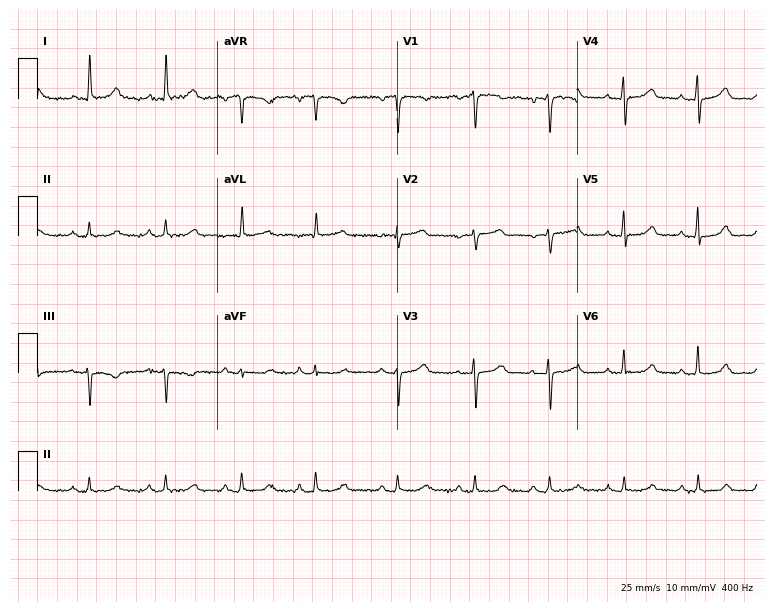
Resting 12-lead electrocardiogram (7.3-second recording at 400 Hz). Patient: a female, 74 years old. None of these six findings is recorded: first-degree AV block, right bundle branch block, left bundle branch block, sinus bradycardia, atrial fibrillation, sinus tachycardia.